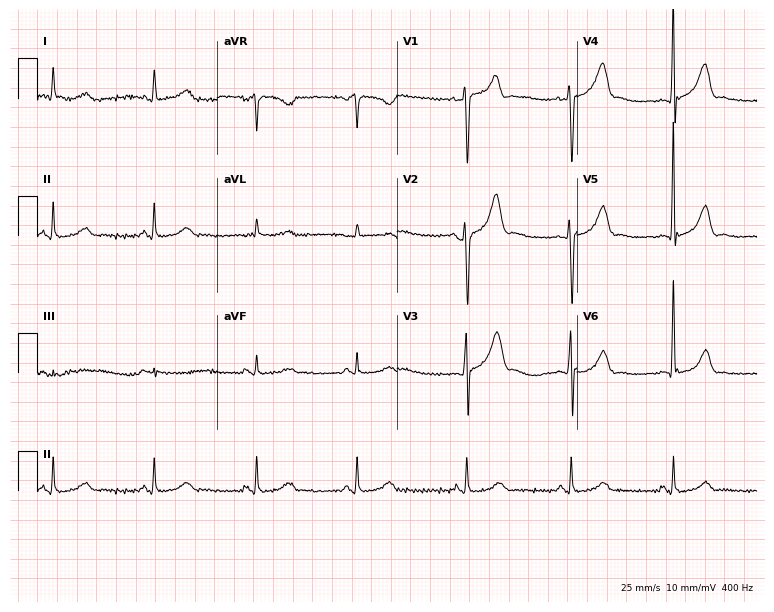
ECG (7.3-second recording at 400 Hz) — a 69-year-old male patient. Screened for six findings — first-degree AV block, right bundle branch block, left bundle branch block, sinus bradycardia, atrial fibrillation, sinus tachycardia — none is recorded. Only these six findings were labelled.